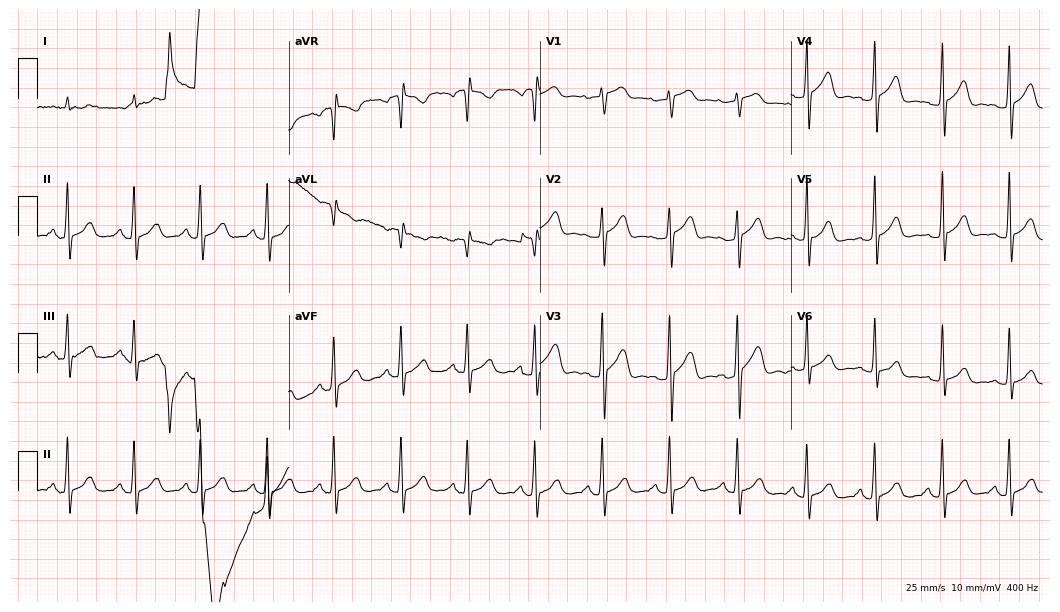
Resting 12-lead electrocardiogram. Patient: a 58-year-old man. Read as a normal ECG.